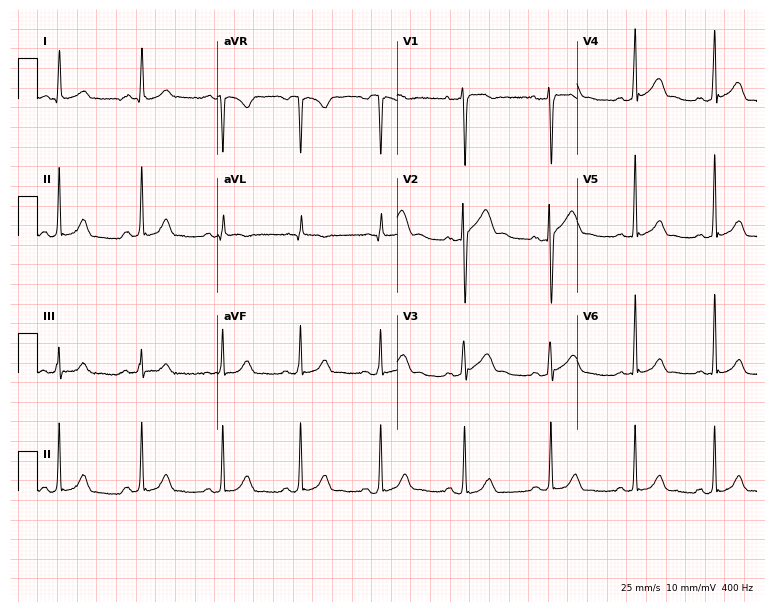
Standard 12-lead ECG recorded from a male, 19 years old. Read as a normal ECG.